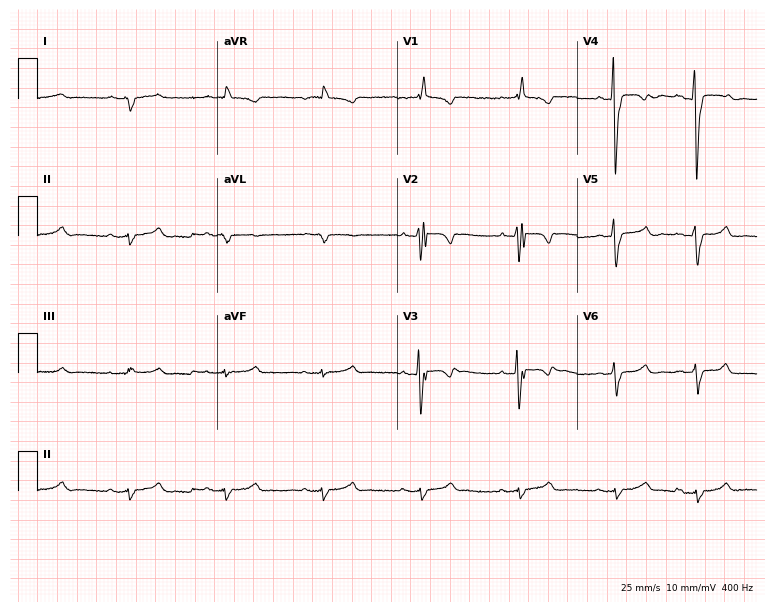
12-lead ECG from a man, 55 years old (7.3-second recording at 400 Hz). No first-degree AV block, right bundle branch block (RBBB), left bundle branch block (LBBB), sinus bradycardia, atrial fibrillation (AF) or sinus tachycardia recorded for this tracing.